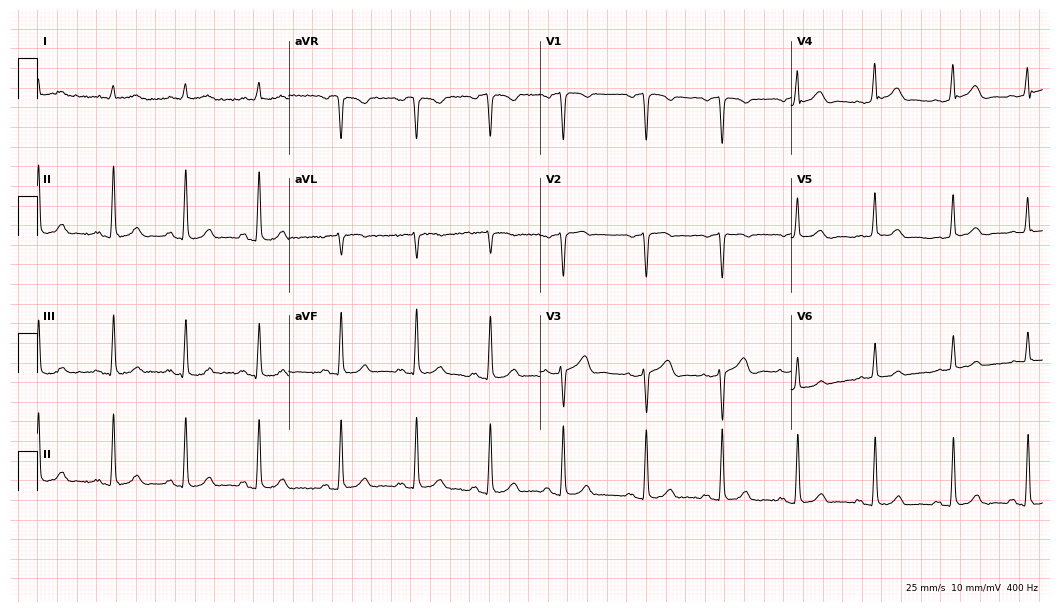
Standard 12-lead ECG recorded from a male patient, 59 years old. Read as a normal ECG.